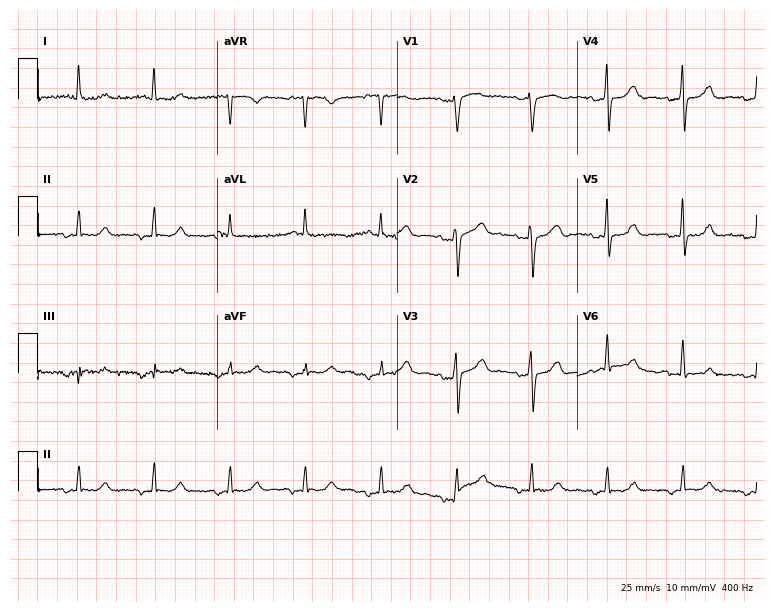
Electrocardiogram (7.3-second recording at 400 Hz), a 75-year-old woman. Of the six screened findings (first-degree AV block, right bundle branch block, left bundle branch block, sinus bradycardia, atrial fibrillation, sinus tachycardia), none is recorded. Only these six findings were labelled.